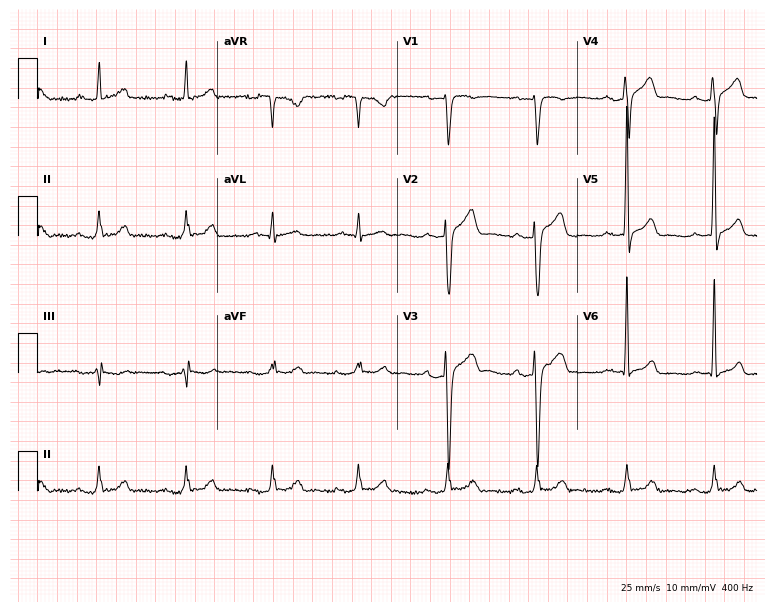
ECG — a male patient, 58 years old. Screened for six findings — first-degree AV block, right bundle branch block (RBBB), left bundle branch block (LBBB), sinus bradycardia, atrial fibrillation (AF), sinus tachycardia — none is recorded. Findings outside these six are not listed.